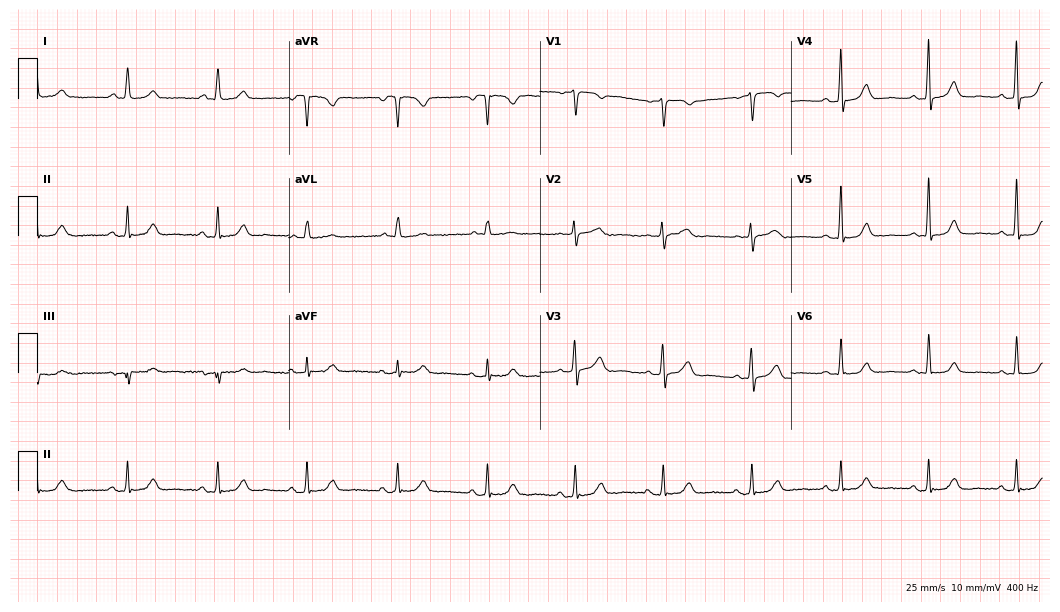
12-lead ECG from a female patient, 69 years old. No first-degree AV block, right bundle branch block, left bundle branch block, sinus bradycardia, atrial fibrillation or sinus tachycardia recorded for this tracing. Findings outside these six are not listed.